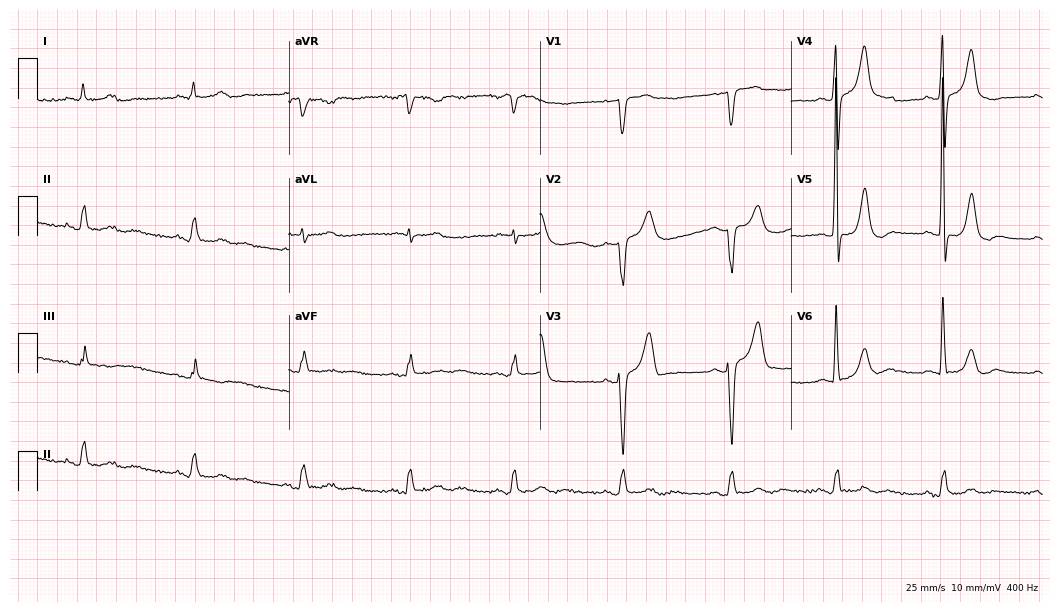
Resting 12-lead electrocardiogram (10.2-second recording at 400 Hz). Patient: a 78-year-old male. None of these six findings is recorded: first-degree AV block, right bundle branch block, left bundle branch block, sinus bradycardia, atrial fibrillation, sinus tachycardia. Only these six findings were labelled.